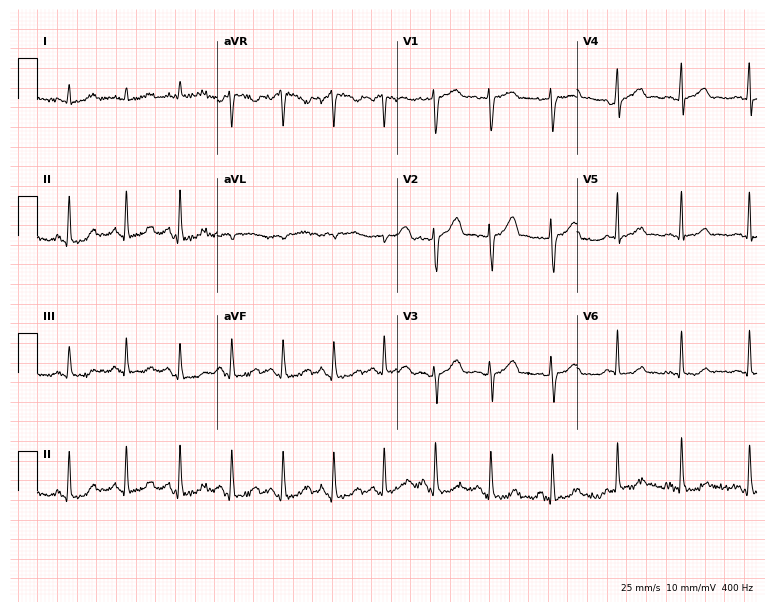
Standard 12-lead ECG recorded from a 39-year-old female patient (7.3-second recording at 400 Hz). The tracing shows sinus tachycardia (a sinus rate of 100 beats per minute or more).